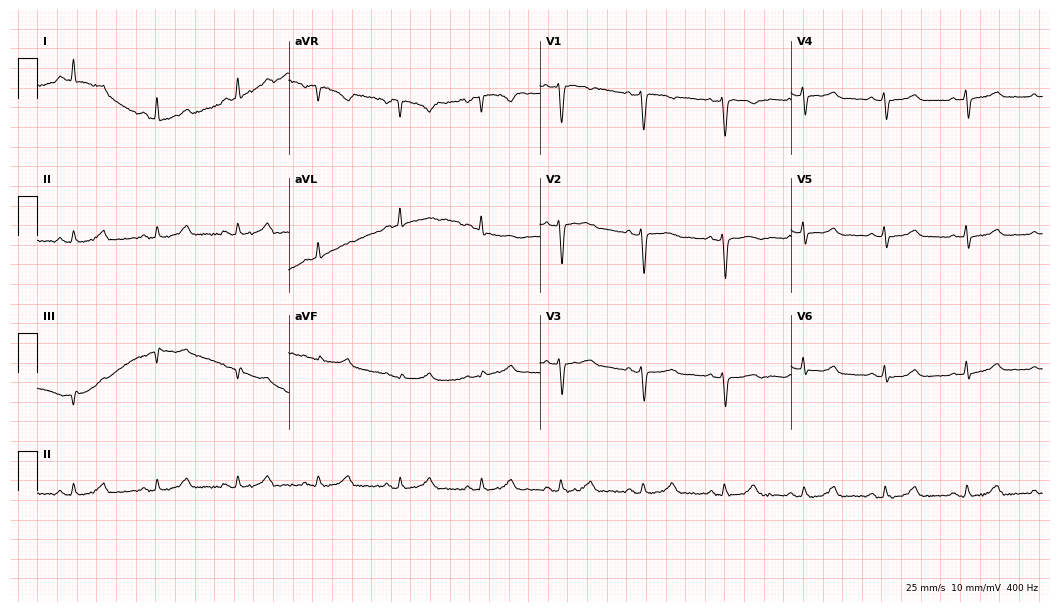
ECG — a female patient, 47 years old. Labelled as a normal ECG.